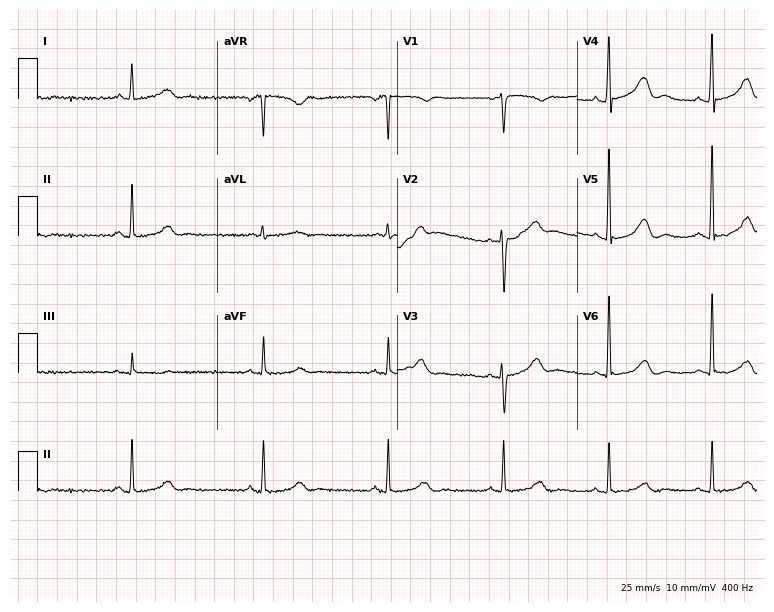
12-lead ECG from a female, 59 years old. Screened for six findings — first-degree AV block, right bundle branch block, left bundle branch block, sinus bradycardia, atrial fibrillation, sinus tachycardia — none is recorded. Only these six findings were labelled.